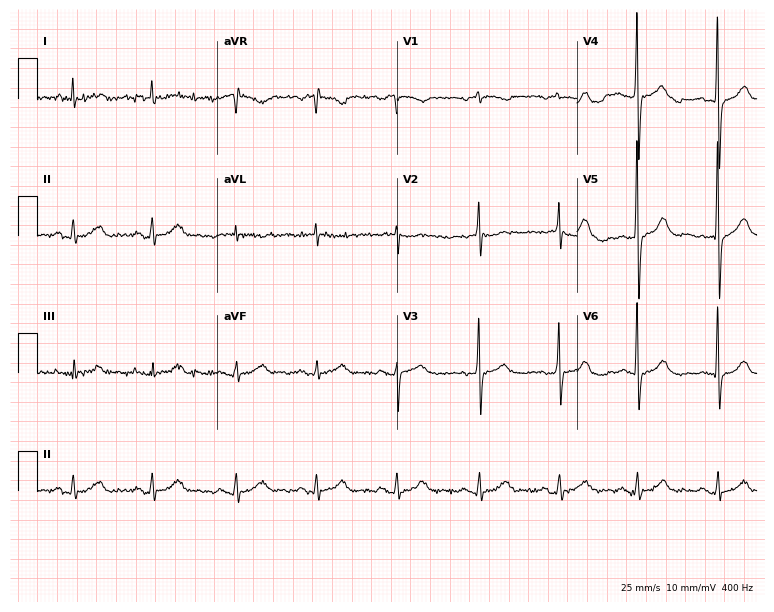
12-lead ECG (7.3-second recording at 400 Hz) from a 75-year-old female patient. Screened for six findings — first-degree AV block, right bundle branch block, left bundle branch block, sinus bradycardia, atrial fibrillation, sinus tachycardia — none is recorded.